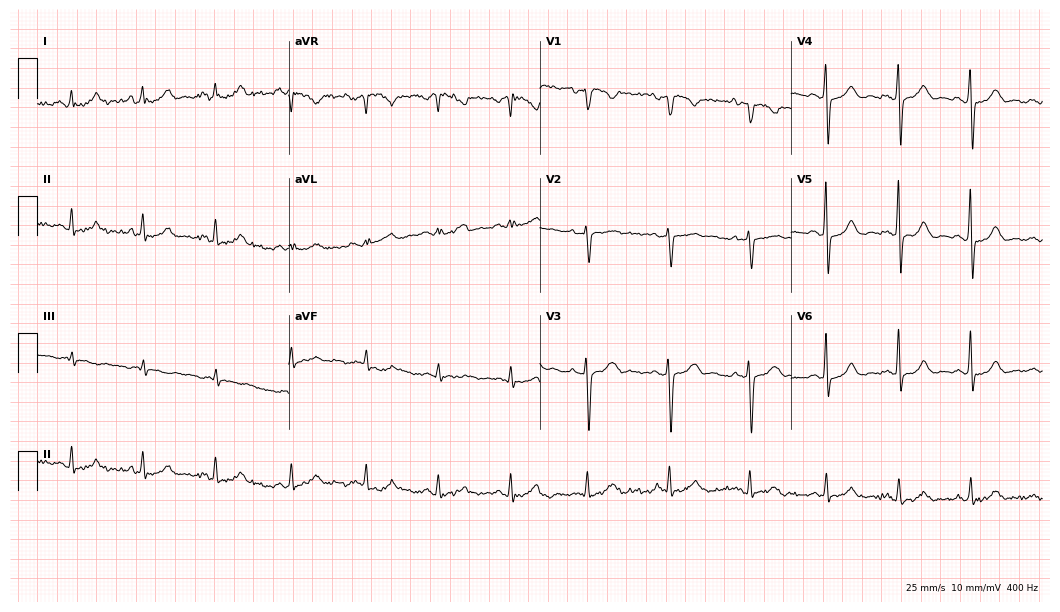
12-lead ECG from a woman, 38 years old. No first-degree AV block, right bundle branch block, left bundle branch block, sinus bradycardia, atrial fibrillation or sinus tachycardia recorded for this tracing.